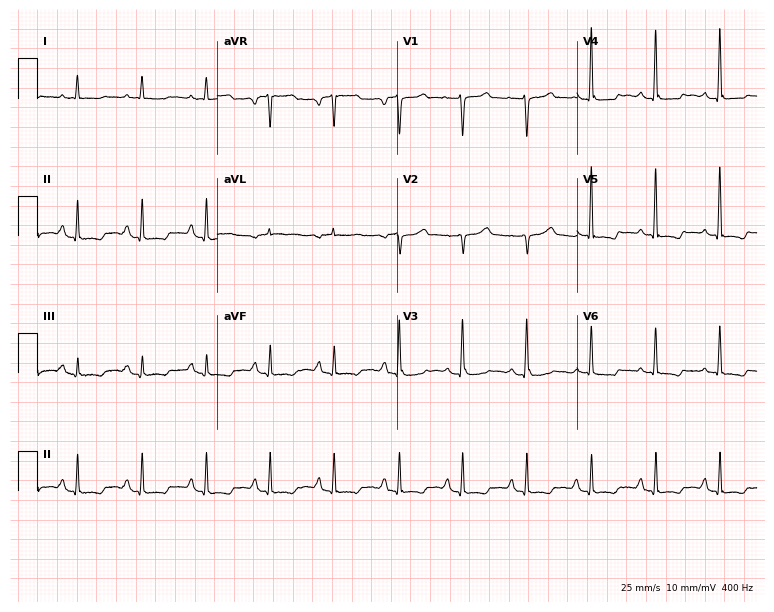
12-lead ECG from a man, 65 years old. No first-degree AV block, right bundle branch block (RBBB), left bundle branch block (LBBB), sinus bradycardia, atrial fibrillation (AF) or sinus tachycardia recorded for this tracing.